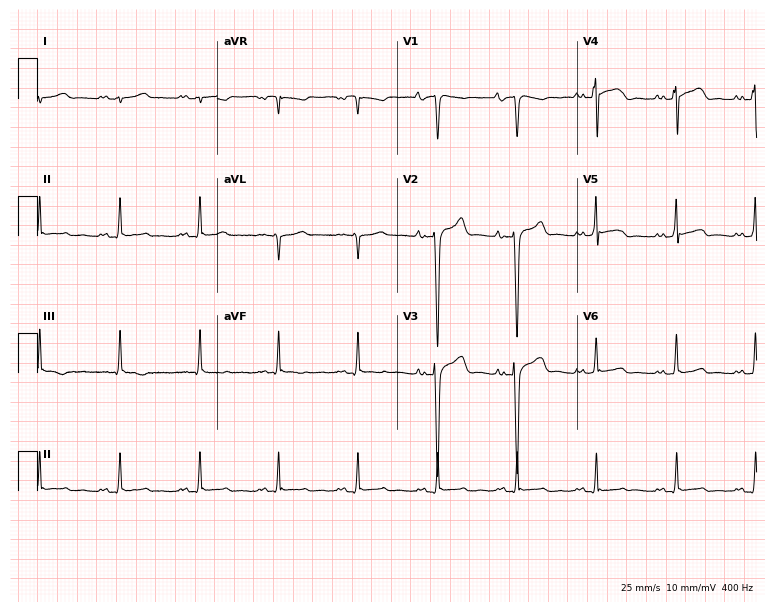
Resting 12-lead electrocardiogram (7.3-second recording at 400 Hz). Patient: a male, 37 years old. None of these six findings is recorded: first-degree AV block, right bundle branch block, left bundle branch block, sinus bradycardia, atrial fibrillation, sinus tachycardia. Only these six findings were labelled.